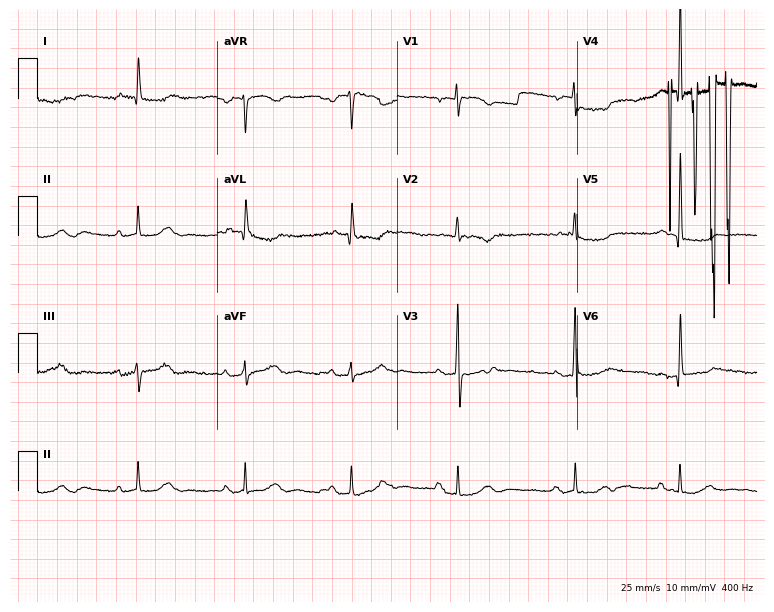
Resting 12-lead electrocardiogram (7.3-second recording at 400 Hz). Patient: a 76-year-old female. None of these six findings is recorded: first-degree AV block, right bundle branch block, left bundle branch block, sinus bradycardia, atrial fibrillation, sinus tachycardia.